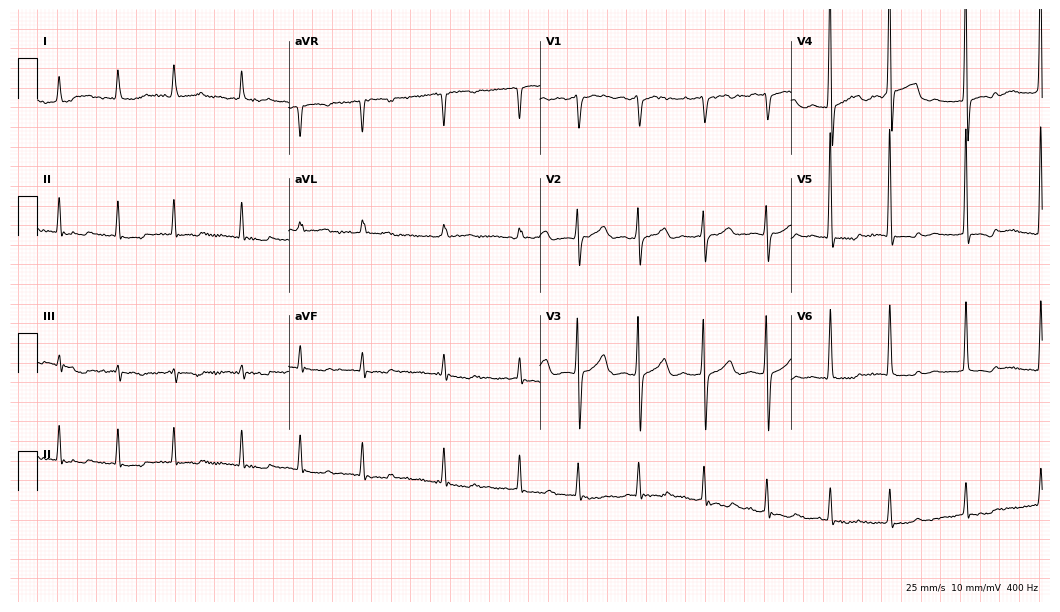
Electrocardiogram, a woman, 69 years old. Interpretation includes atrial fibrillation.